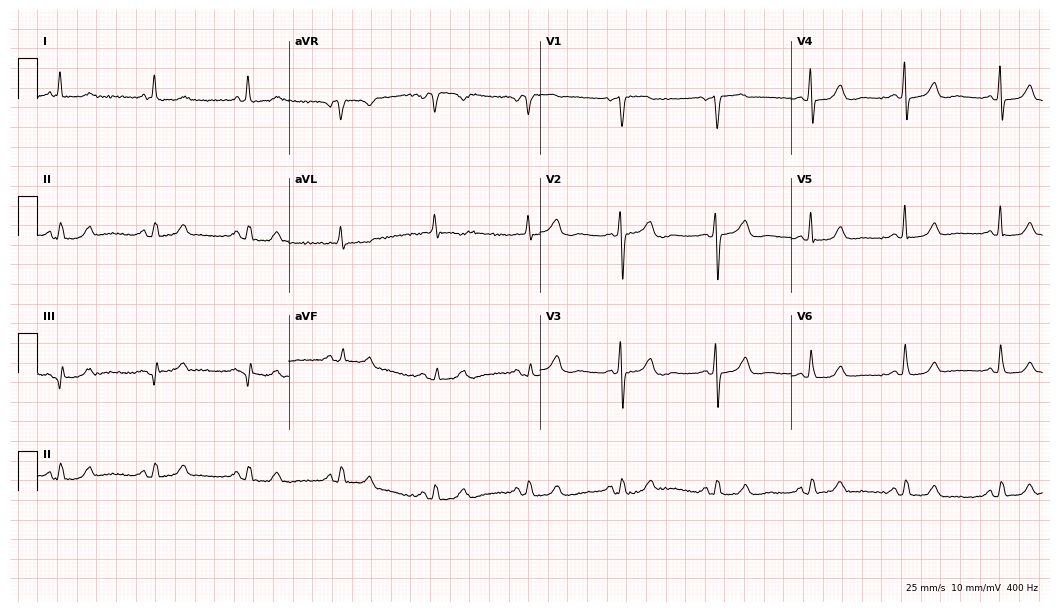
Electrocardiogram (10.2-second recording at 400 Hz), an 80-year-old woman. Of the six screened findings (first-degree AV block, right bundle branch block, left bundle branch block, sinus bradycardia, atrial fibrillation, sinus tachycardia), none is recorded.